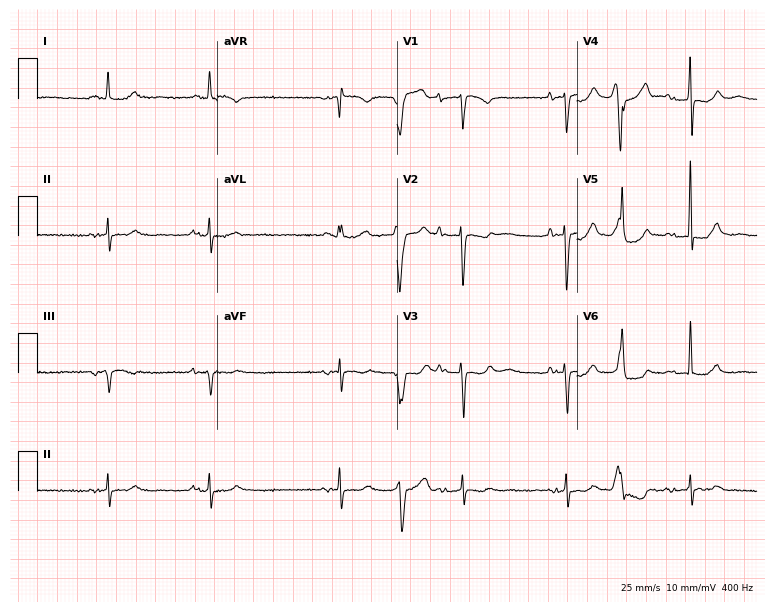
Electrocardiogram, a female patient, 83 years old. Of the six screened findings (first-degree AV block, right bundle branch block (RBBB), left bundle branch block (LBBB), sinus bradycardia, atrial fibrillation (AF), sinus tachycardia), none is recorded. Only these six findings were labelled.